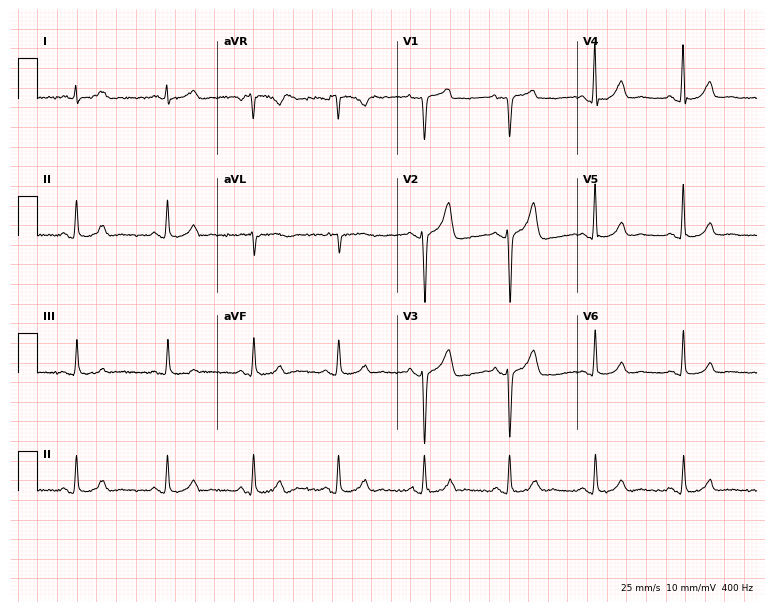
Electrocardiogram (7.3-second recording at 400 Hz), a male, 36 years old. Overall reading on record: normal ECG.